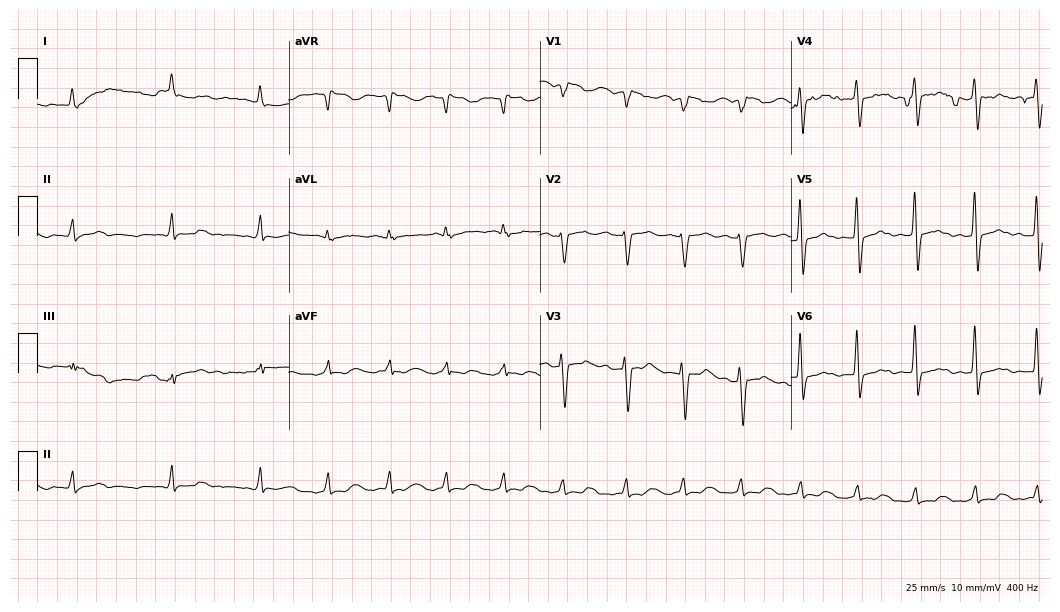
Standard 12-lead ECG recorded from a woman, 82 years old. The tracing shows atrial fibrillation (AF).